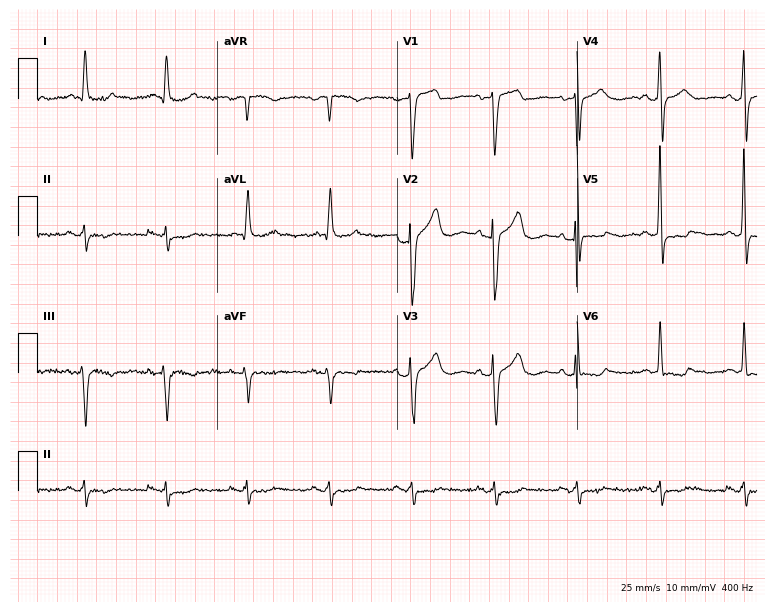
Electrocardiogram (7.3-second recording at 400 Hz), a male patient, 63 years old. Of the six screened findings (first-degree AV block, right bundle branch block (RBBB), left bundle branch block (LBBB), sinus bradycardia, atrial fibrillation (AF), sinus tachycardia), none is recorded.